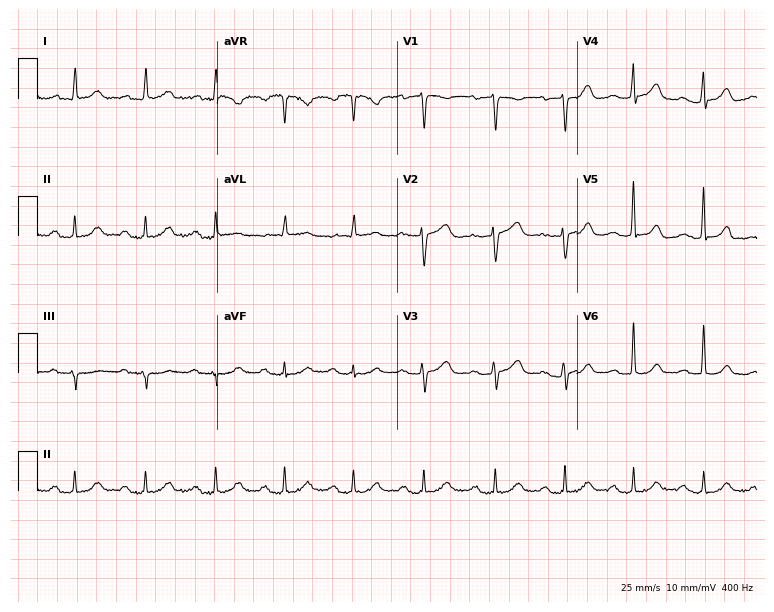
Resting 12-lead electrocardiogram (7.3-second recording at 400 Hz). Patient: an 84-year-old woman. Read as a normal ECG.